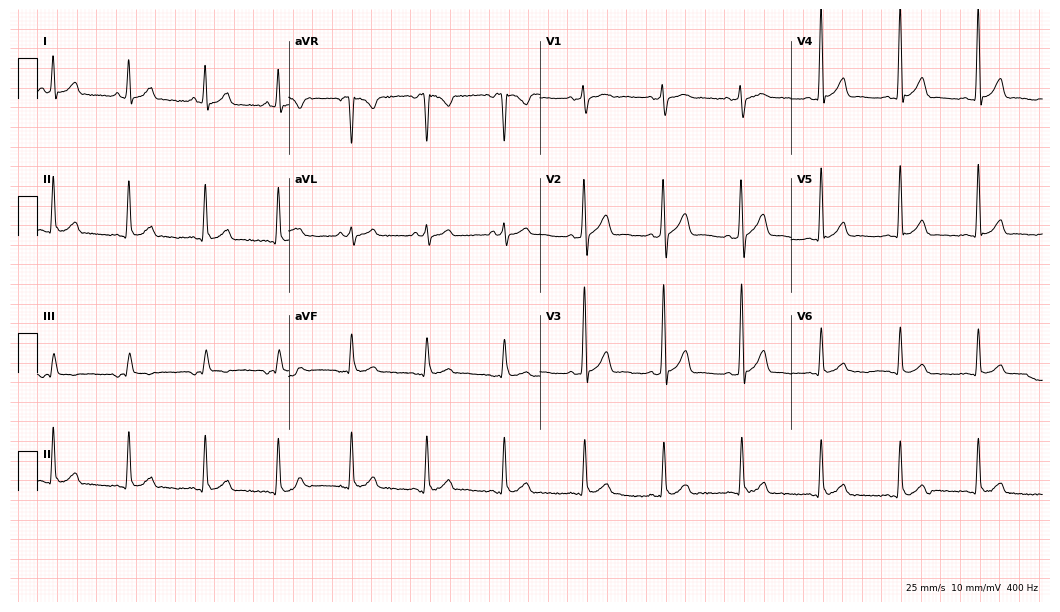
12-lead ECG (10.2-second recording at 400 Hz) from a man, 28 years old. Labelled as a normal ECG.